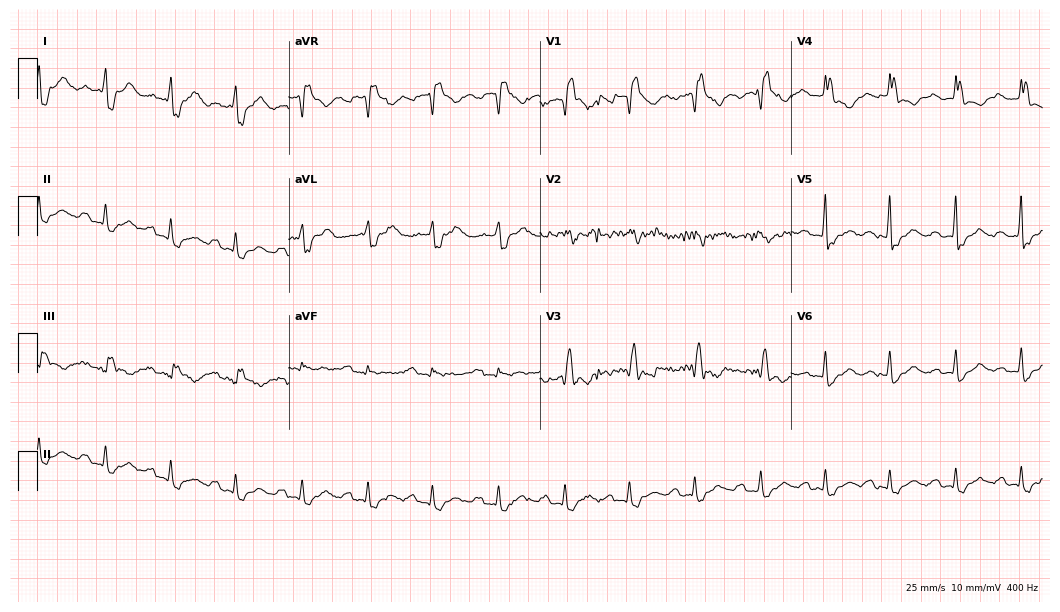
12-lead ECG from a 69-year-old female patient. Findings include right bundle branch block.